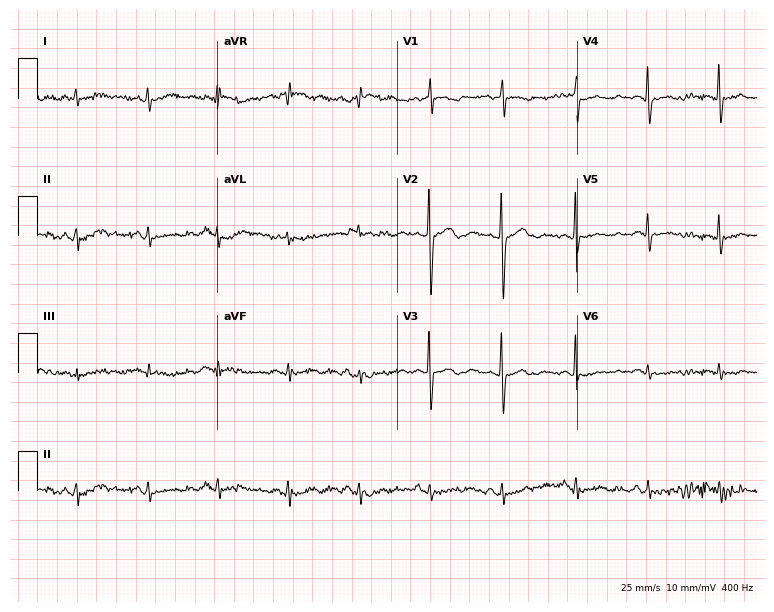
Electrocardiogram, a 68-year-old female. Overall reading on record: normal ECG.